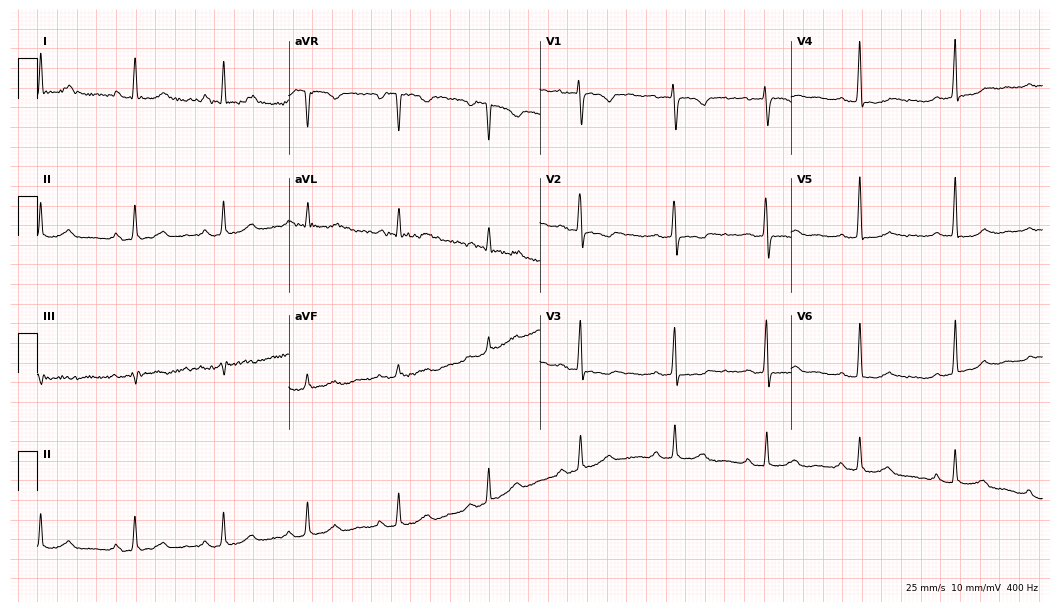
Resting 12-lead electrocardiogram. Patient: a 55-year-old female. Read as a normal ECG.